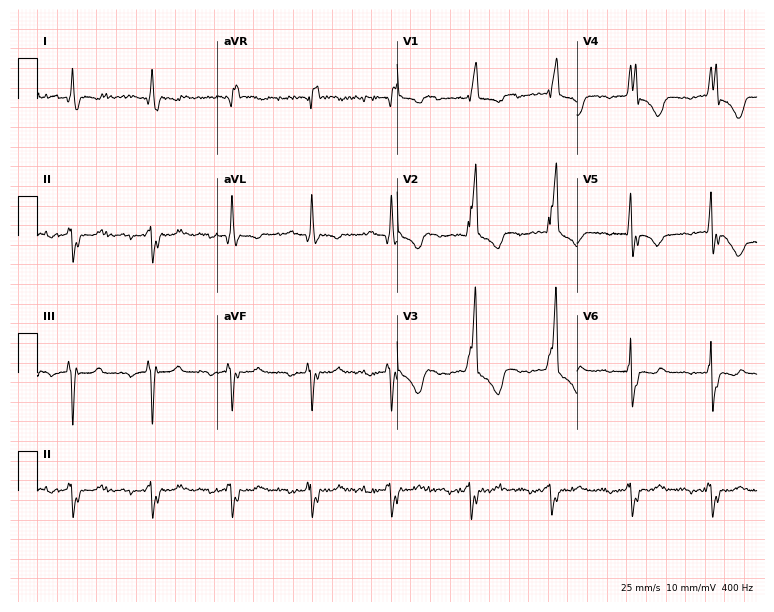
Standard 12-lead ECG recorded from a male, 62 years old (7.3-second recording at 400 Hz). The tracing shows right bundle branch block (RBBB).